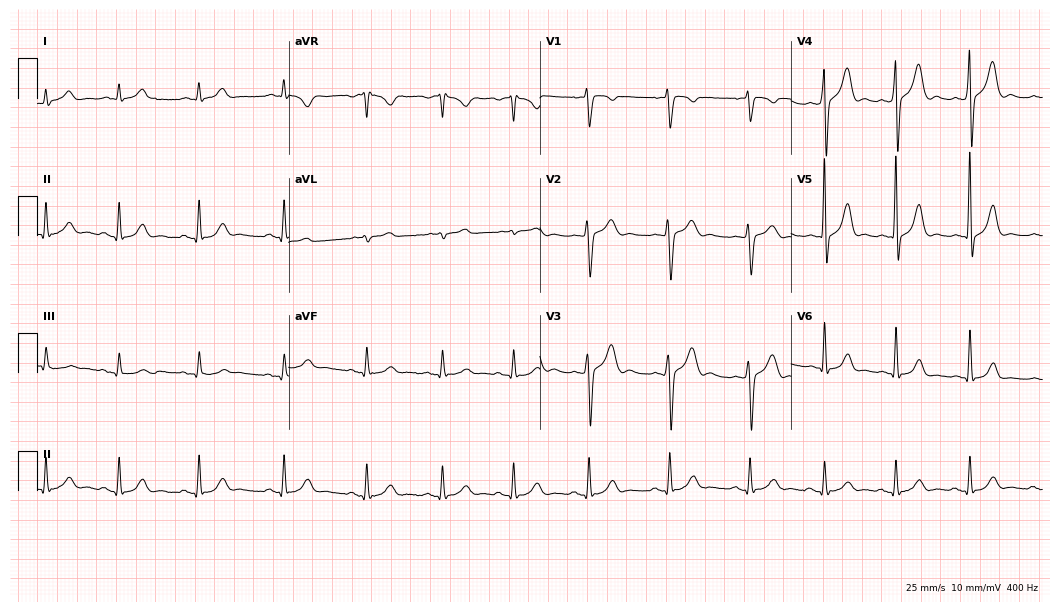
12-lead ECG from a male patient, 25 years old. Recorded interpretation: within normal limits.